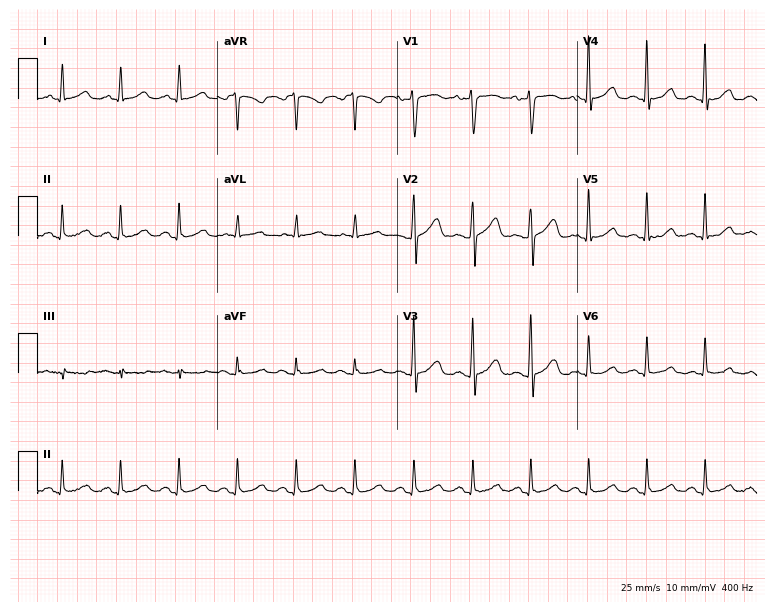
12-lead ECG from a 46-year-old man. Findings include sinus tachycardia (a sinus rate of 100 beats per minute or more).